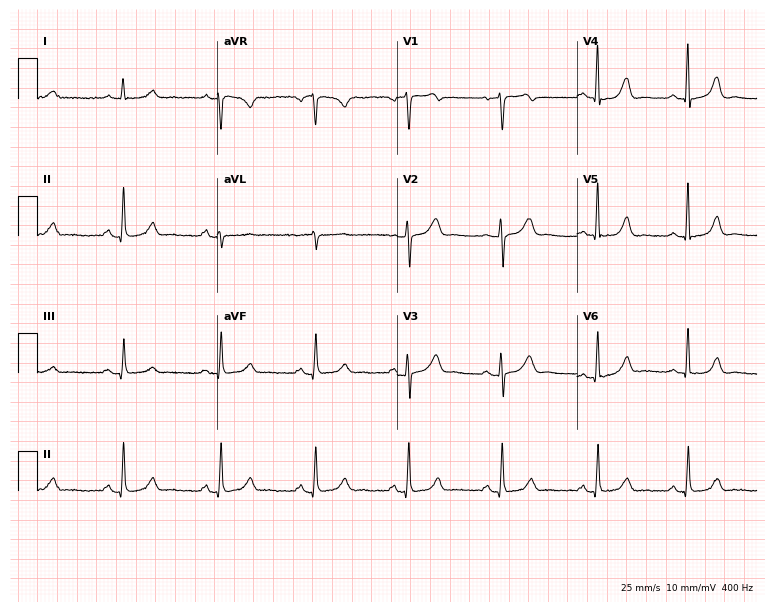
ECG (7.3-second recording at 400 Hz) — a 54-year-old female patient. Screened for six findings — first-degree AV block, right bundle branch block, left bundle branch block, sinus bradycardia, atrial fibrillation, sinus tachycardia — none is recorded. Only these six findings were labelled.